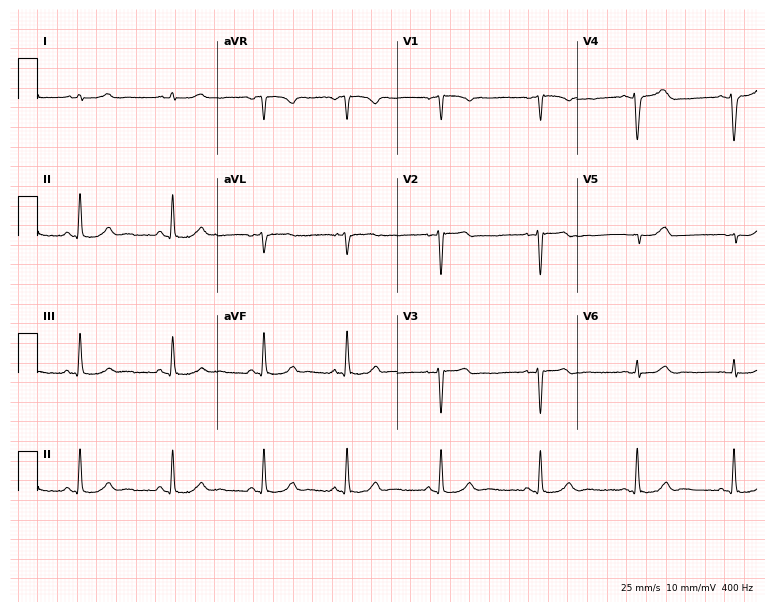
Electrocardiogram, a 23-year-old woman. Overall reading on record: normal ECG.